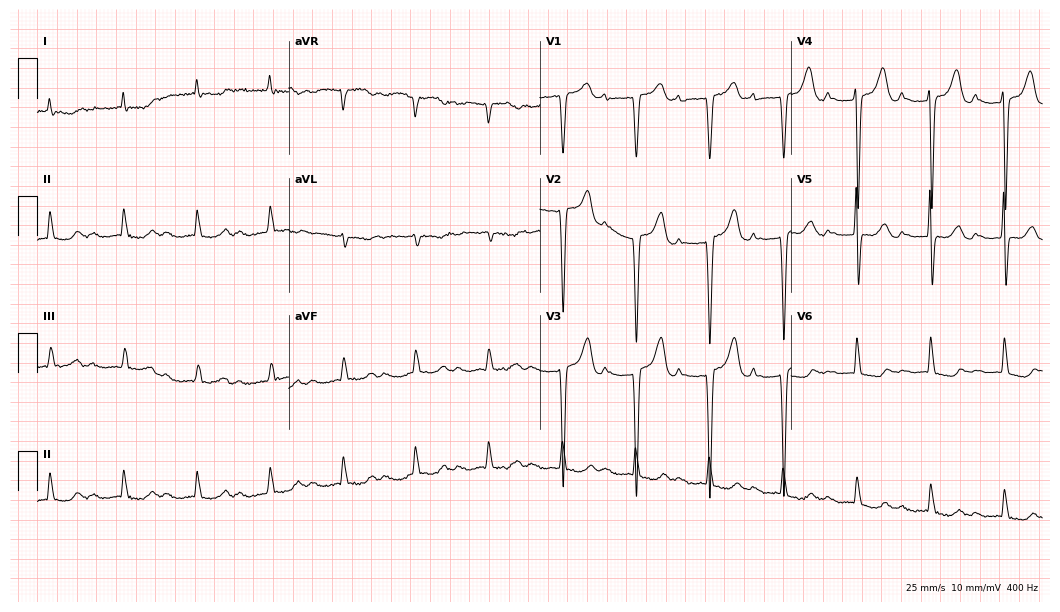
ECG — an 81-year-old woman. Findings include first-degree AV block.